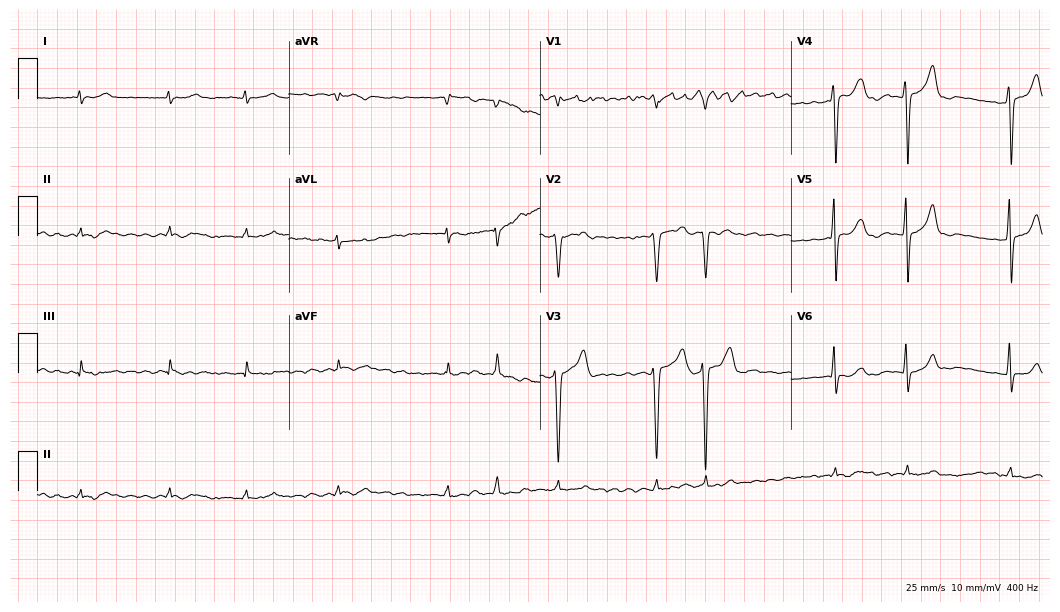
12-lead ECG from a man, 79 years old. Findings include atrial fibrillation.